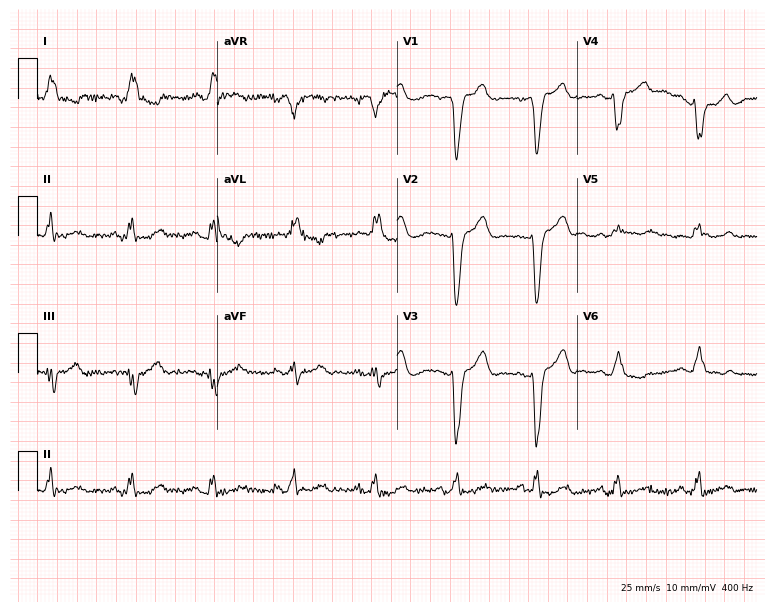
Resting 12-lead electrocardiogram (7.3-second recording at 400 Hz). Patient: a female, 81 years old. The tracing shows left bundle branch block.